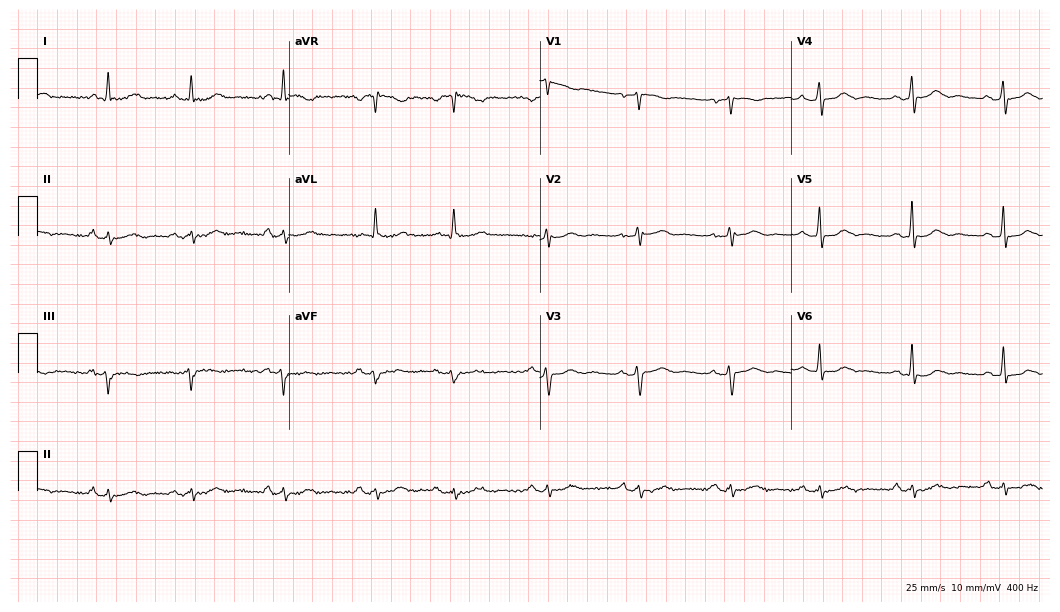
ECG (10.2-second recording at 400 Hz) — a female patient, 75 years old. Screened for six findings — first-degree AV block, right bundle branch block, left bundle branch block, sinus bradycardia, atrial fibrillation, sinus tachycardia — none is recorded. Findings outside these six are not listed.